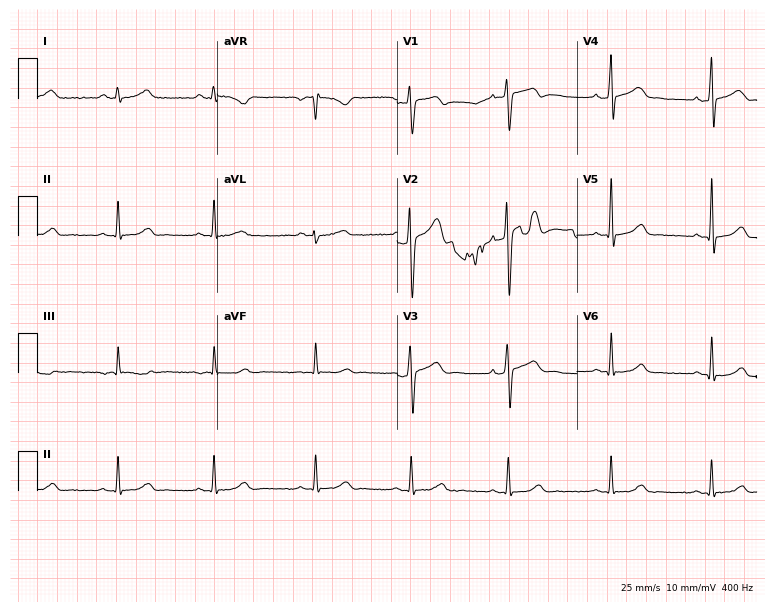
ECG — a male patient, 45 years old. Screened for six findings — first-degree AV block, right bundle branch block, left bundle branch block, sinus bradycardia, atrial fibrillation, sinus tachycardia — none is recorded. Other findings, if any, are not listed.